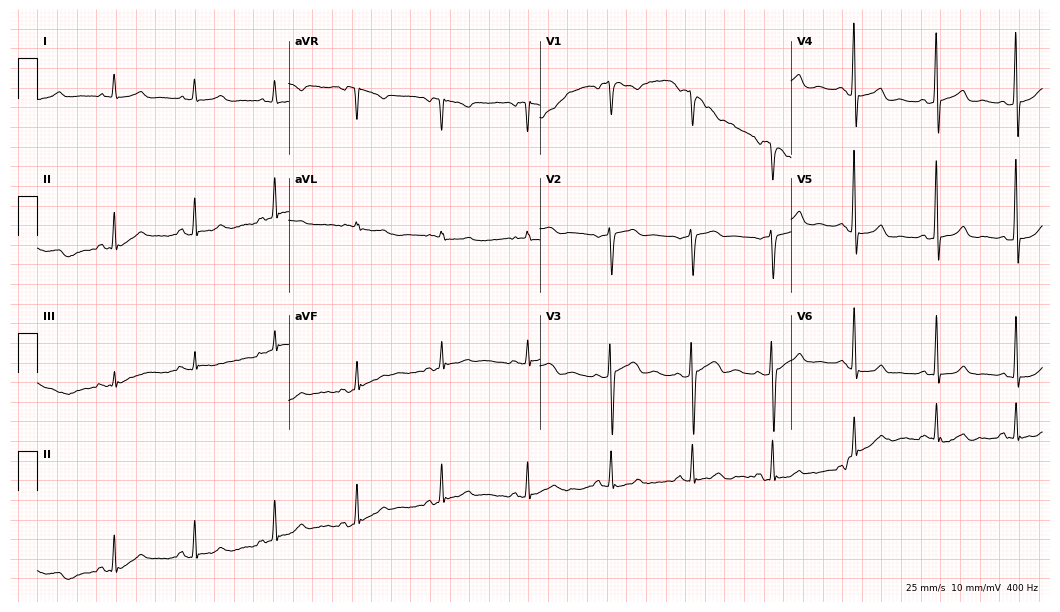
Standard 12-lead ECG recorded from a 65-year-old female patient. Read as a normal ECG.